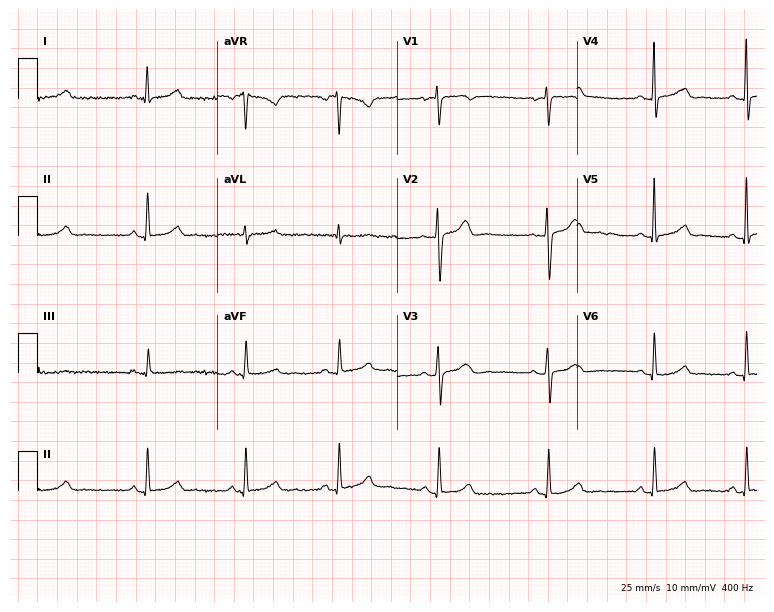
ECG — a female patient, 41 years old. Labelled as a normal ECG.